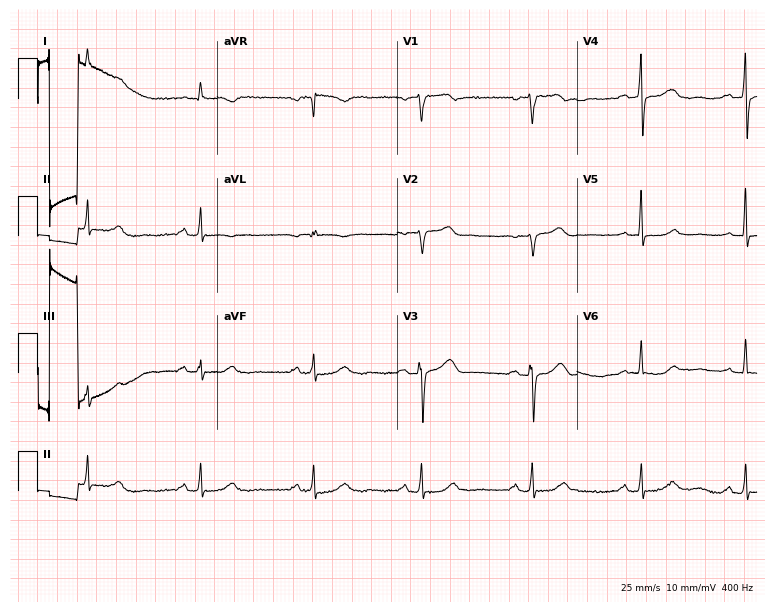
ECG — a 56-year-old female patient. Labelled as a normal ECG.